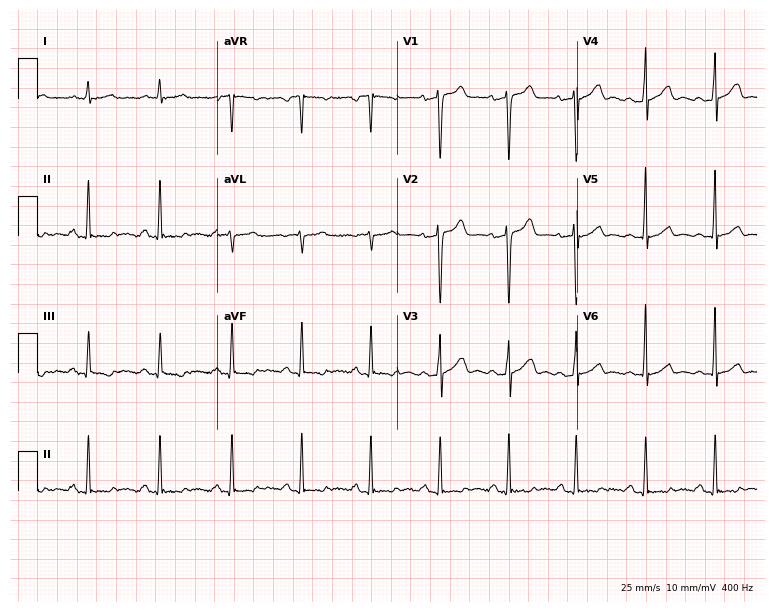
Standard 12-lead ECG recorded from a man, 28 years old (7.3-second recording at 400 Hz). Read as a normal ECG.